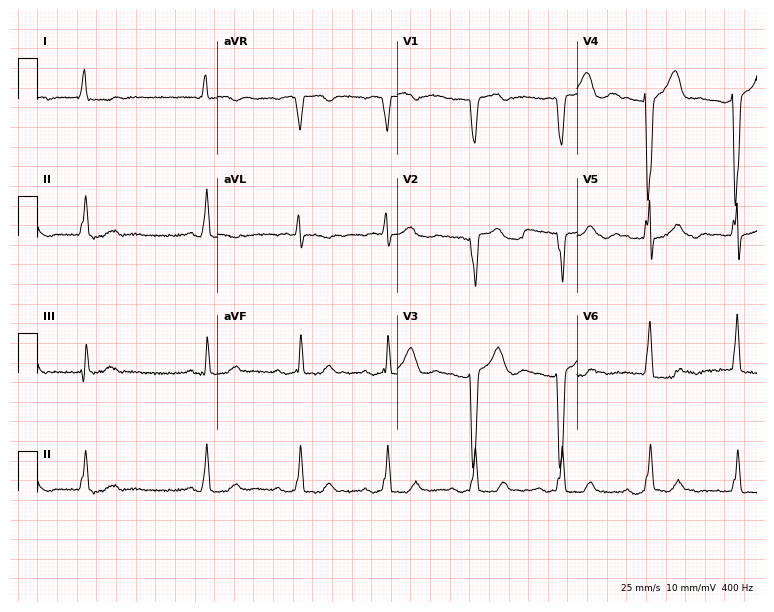
12-lead ECG from a male patient, 75 years old. No first-degree AV block, right bundle branch block (RBBB), left bundle branch block (LBBB), sinus bradycardia, atrial fibrillation (AF) or sinus tachycardia recorded for this tracing. Only these six findings were labelled.